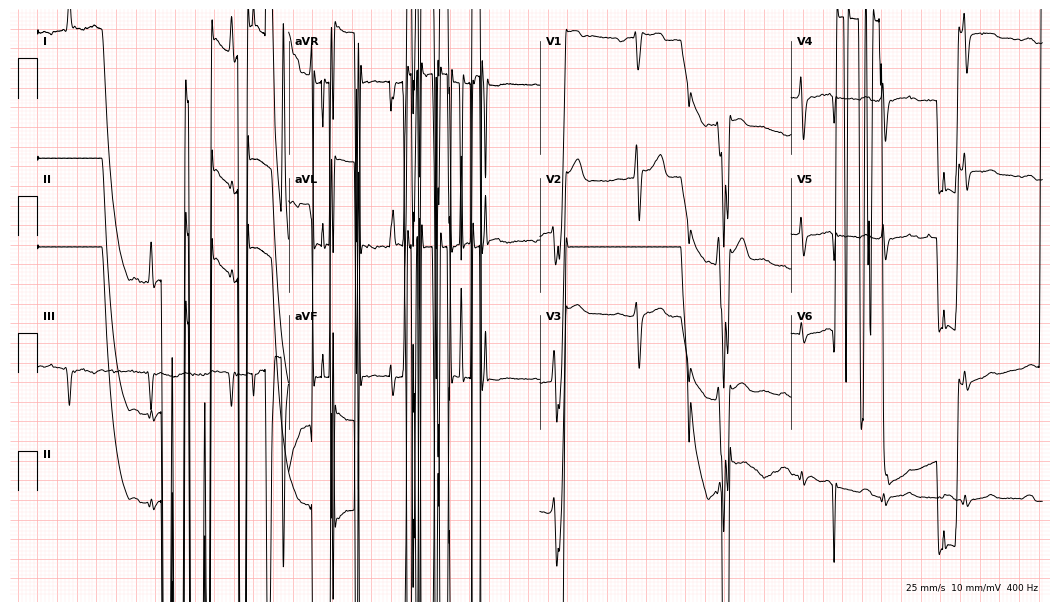
12-lead ECG from a male, 50 years old. No first-degree AV block, right bundle branch block, left bundle branch block, sinus bradycardia, atrial fibrillation or sinus tachycardia recorded for this tracing.